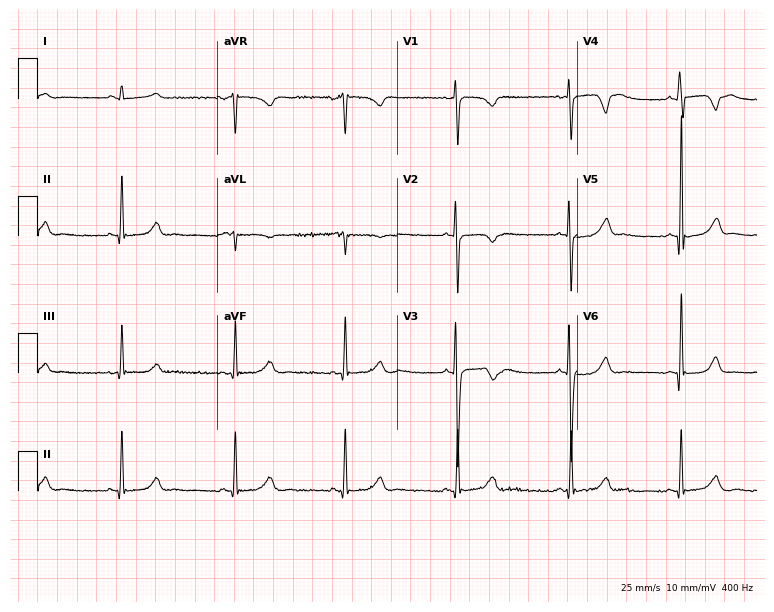
12-lead ECG from a woman, 17 years old. No first-degree AV block, right bundle branch block (RBBB), left bundle branch block (LBBB), sinus bradycardia, atrial fibrillation (AF) or sinus tachycardia recorded for this tracing.